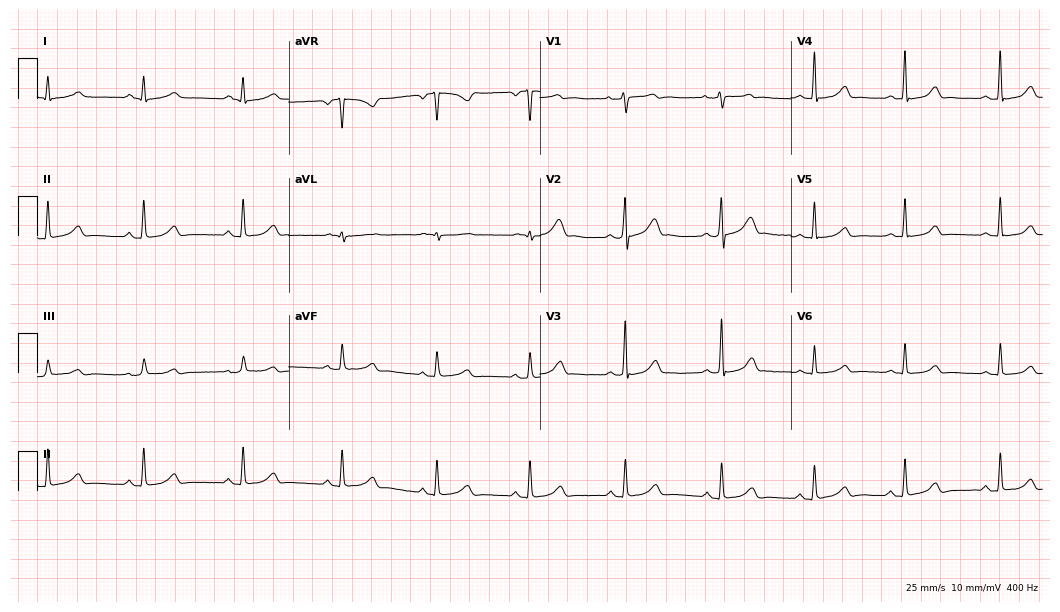
12-lead ECG (10.2-second recording at 400 Hz) from a female, 39 years old. Labelled as a normal ECG.